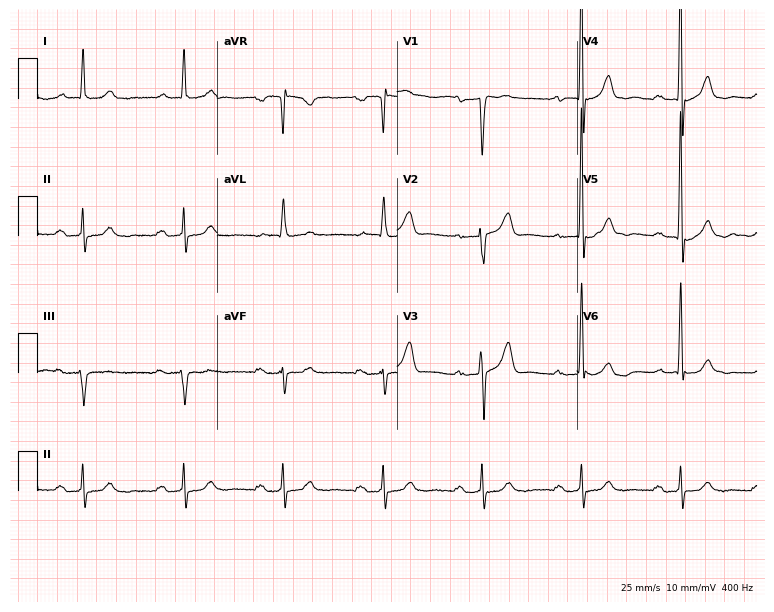
12-lead ECG from a 79-year-old man (7.3-second recording at 400 Hz). Shows first-degree AV block.